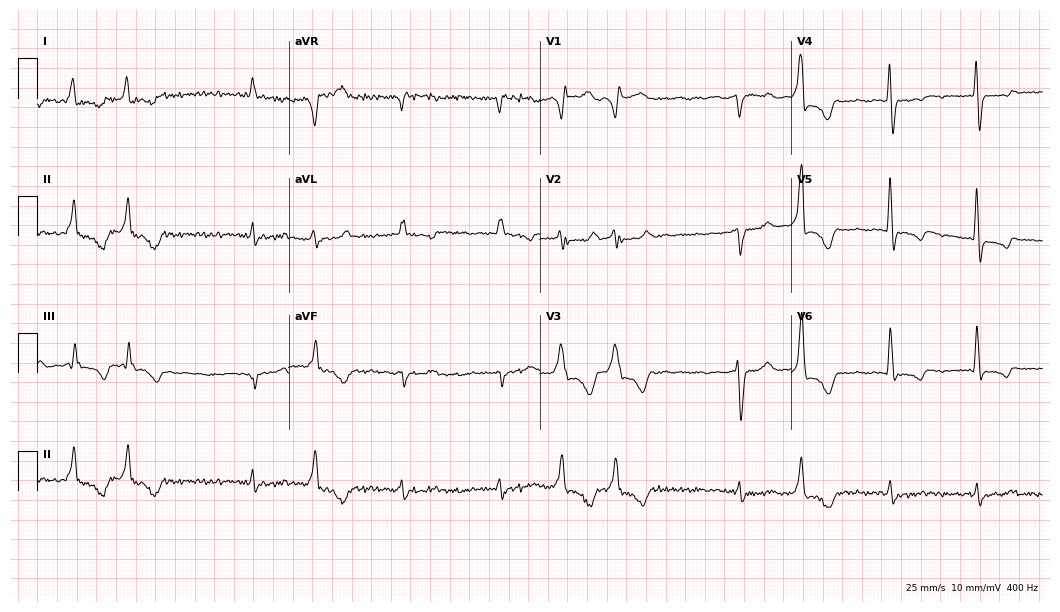
Resting 12-lead electrocardiogram. Patient: a 76-year-old male. The tracing shows atrial fibrillation.